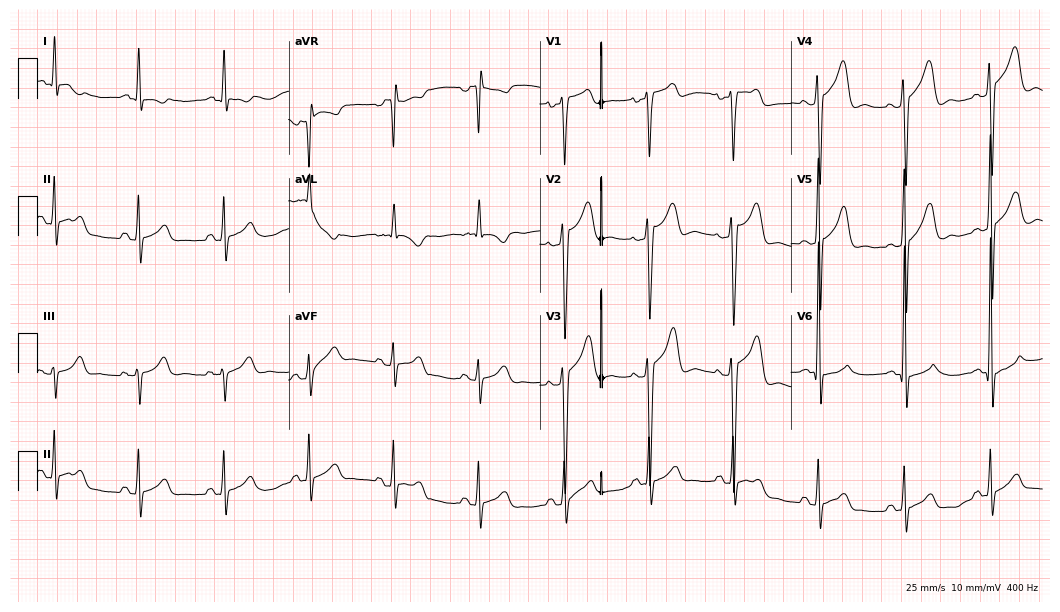
Standard 12-lead ECG recorded from a 55-year-old male. None of these six findings is recorded: first-degree AV block, right bundle branch block, left bundle branch block, sinus bradycardia, atrial fibrillation, sinus tachycardia.